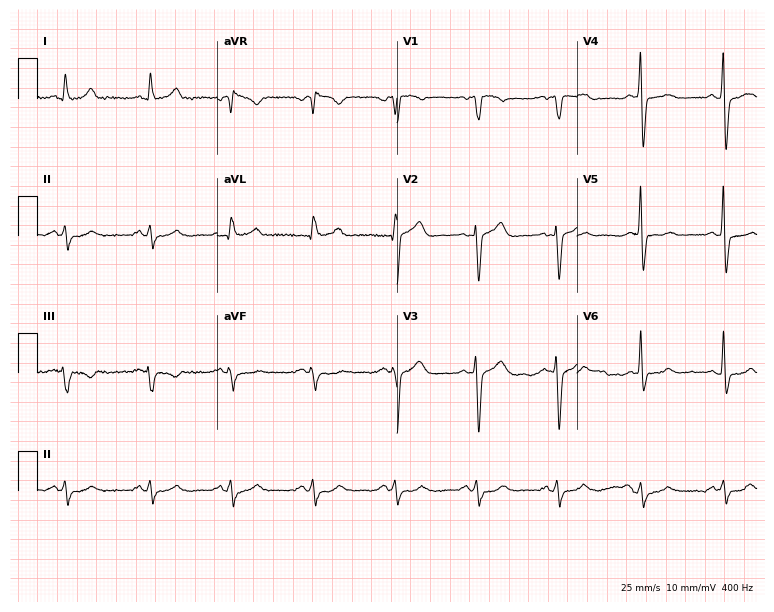
Resting 12-lead electrocardiogram. Patient: a 51-year-old male. None of these six findings is recorded: first-degree AV block, right bundle branch block, left bundle branch block, sinus bradycardia, atrial fibrillation, sinus tachycardia.